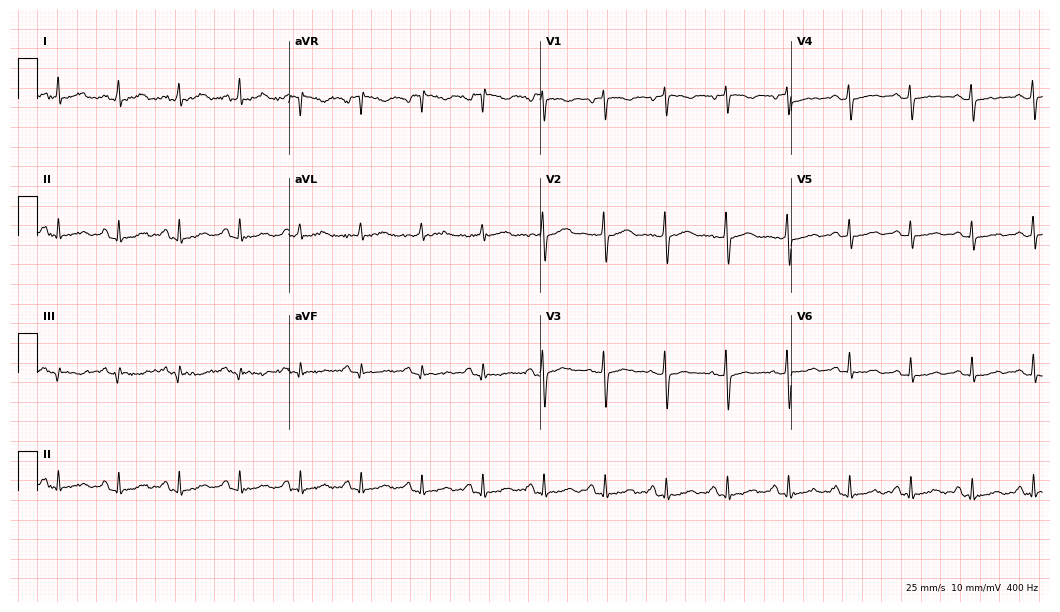
Electrocardiogram (10.2-second recording at 400 Hz), a 68-year-old female patient. Overall reading on record: normal ECG.